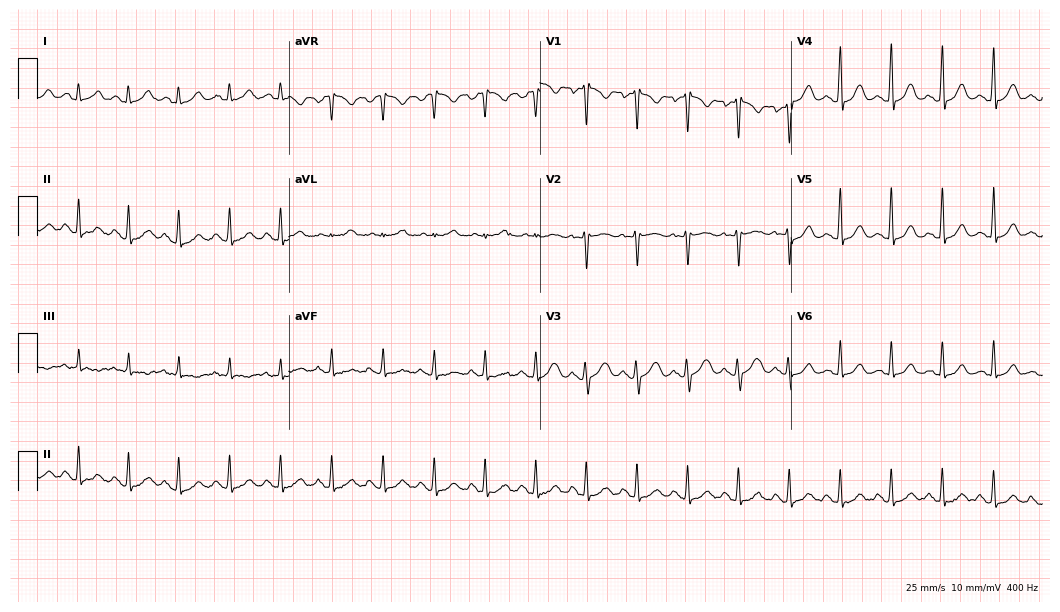
ECG (10.2-second recording at 400 Hz) — a 17-year-old female patient. Screened for six findings — first-degree AV block, right bundle branch block (RBBB), left bundle branch block (LBBB), sinus bradycardia, atrial fibrillation (AF), sinus tachycardia — none is recorded. Other findings, if any, are not listed.